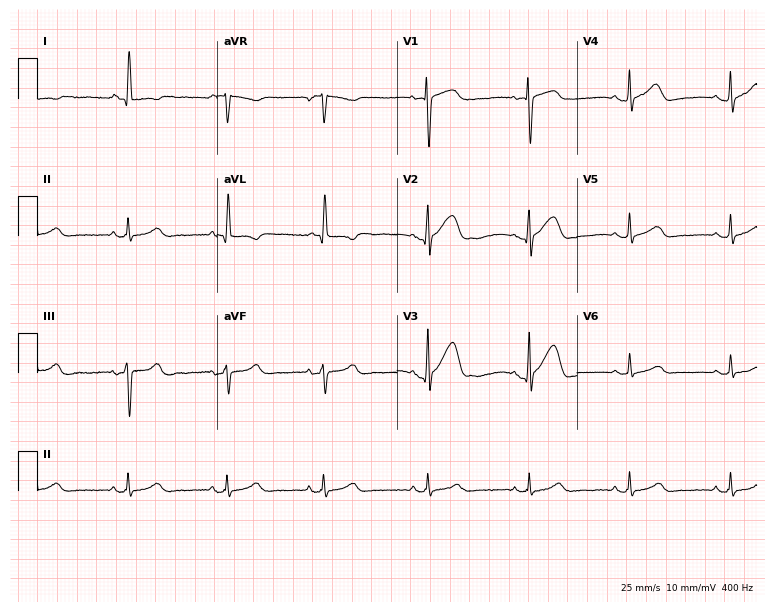
Electrocardiogram, a 73-year-old female. Of the six screened findings (first-degree AV block, right bundle branch block, left bundle branch block, sinus bradycardia, atrial fibrillation, sinus tachycardia), none is recorded.